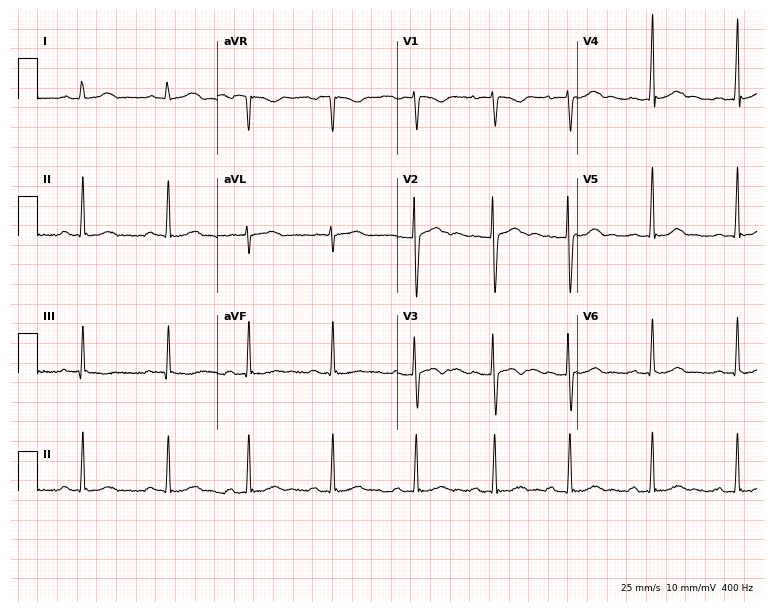
Electrocardiogram, a female patient, 22 years old. Interpretation includes first-degree AV block.